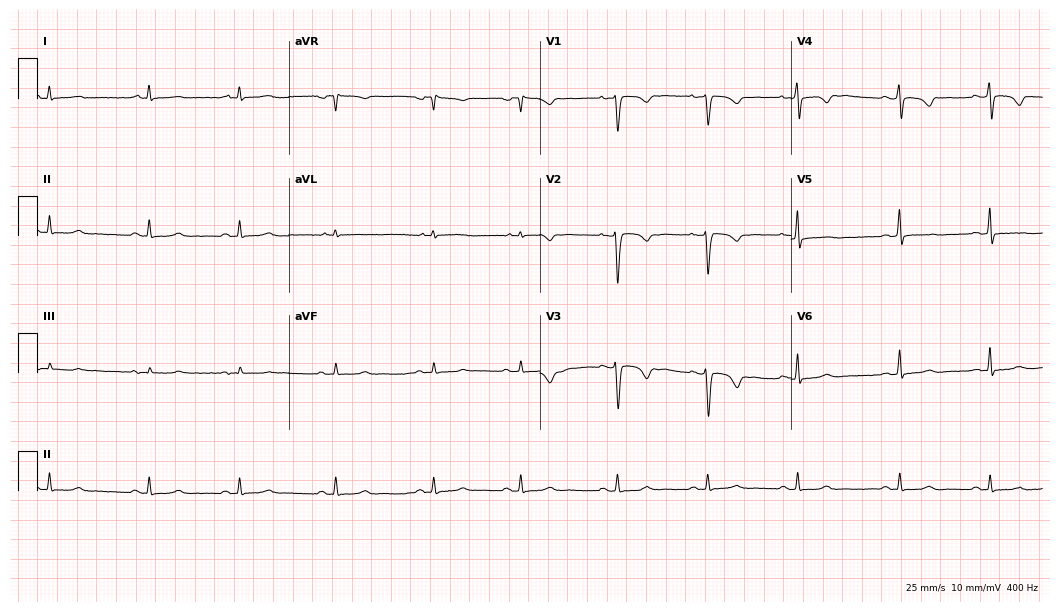
12-lead ECG from a 26-year-old female (10.2-second recording at 400 Hz). No first-degree AV block, right bundle branch block, left bundle branch block, sinus bradycardia, atrial fibrillation or sinus tachycardia recorded for this tracing.